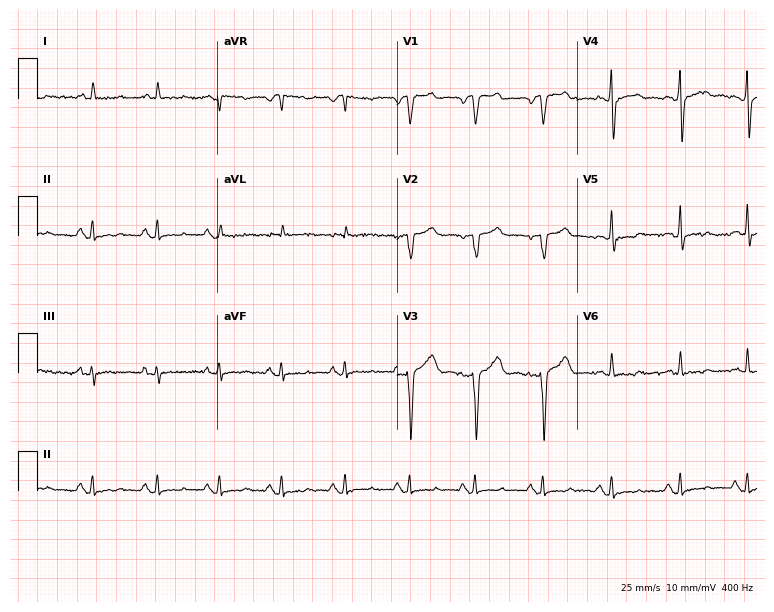
Standard 12-lead ECG recorded from a 68-year-old male. Read as a normal ECG.